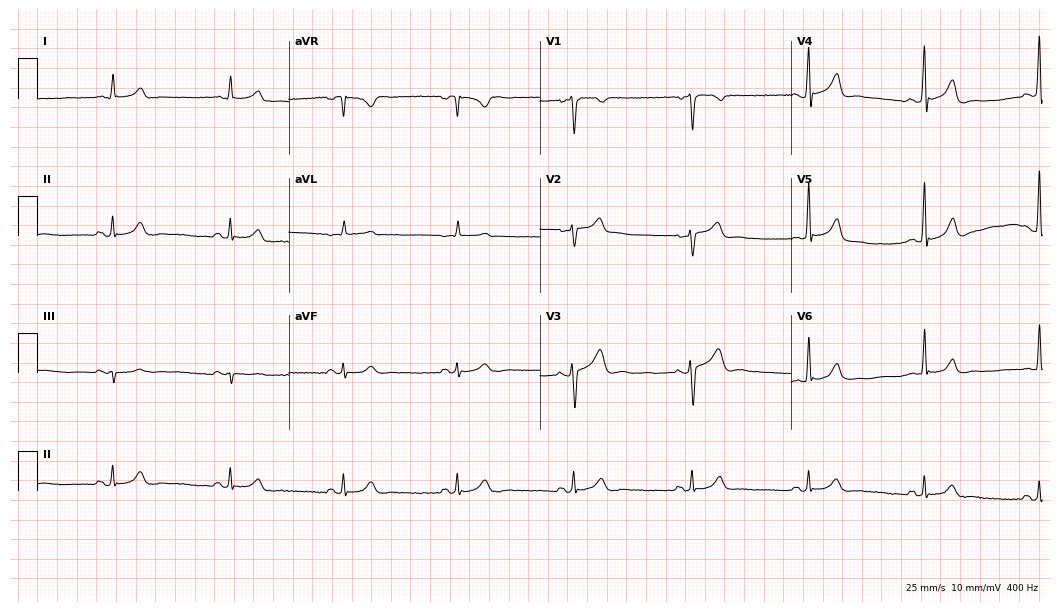
12-lead ECG (10.2-second recording at 400 Hz) from a man, 62 years old. Labelled as a normal ECG.